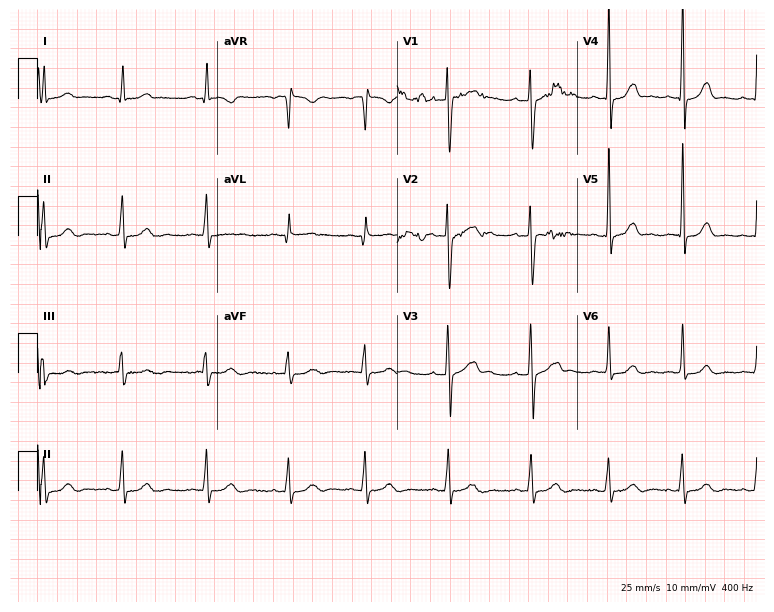
Electrocardiogram (7.3-second recording at 400 Hz), an 18-year-old female patient. Overall reading on record: normal ECG.